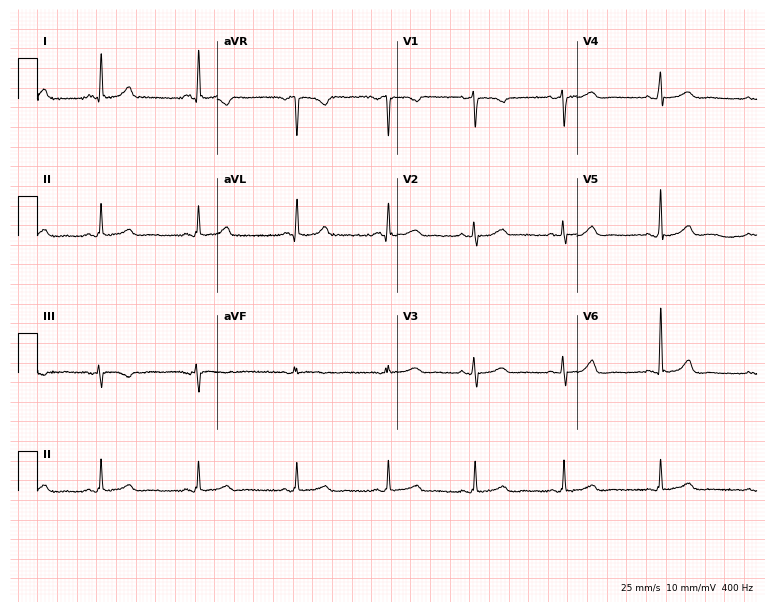
ECG — a 44-year-old female. Labelled as a normal ECG.